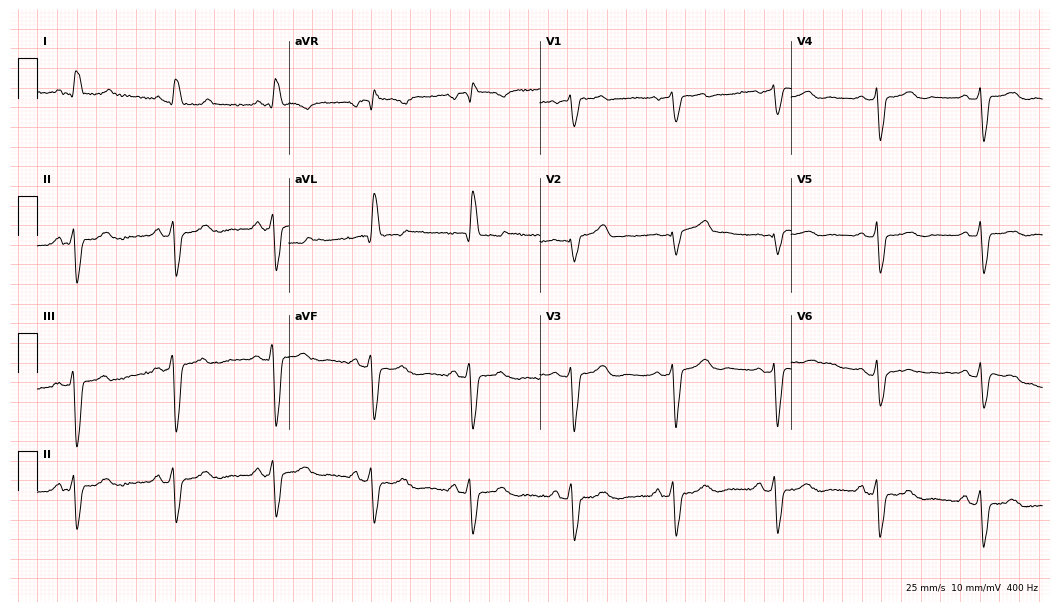
Electrocardiogram, a female patient, 68 years old. Of the six screened findings (first-degree AV block, right bundle branch block (RBBB), left bundle branch block (LBBB), sinus bradycardia, atrial fibrillation (AF), sinus tachycardia), none is recorded. Other findings, if any, are not listed.